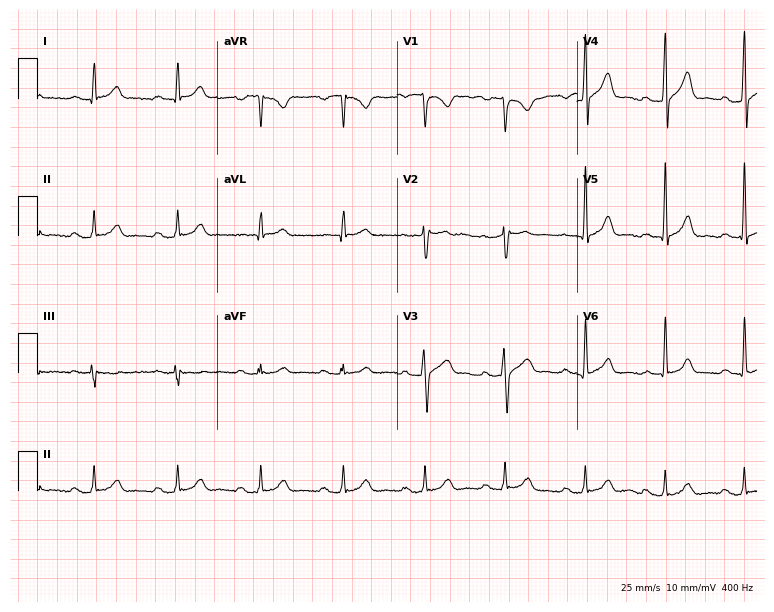
ECG (7.3-second recording at 400 Hz) — a 40-year-old male patient. Labelled as a normal ECG.